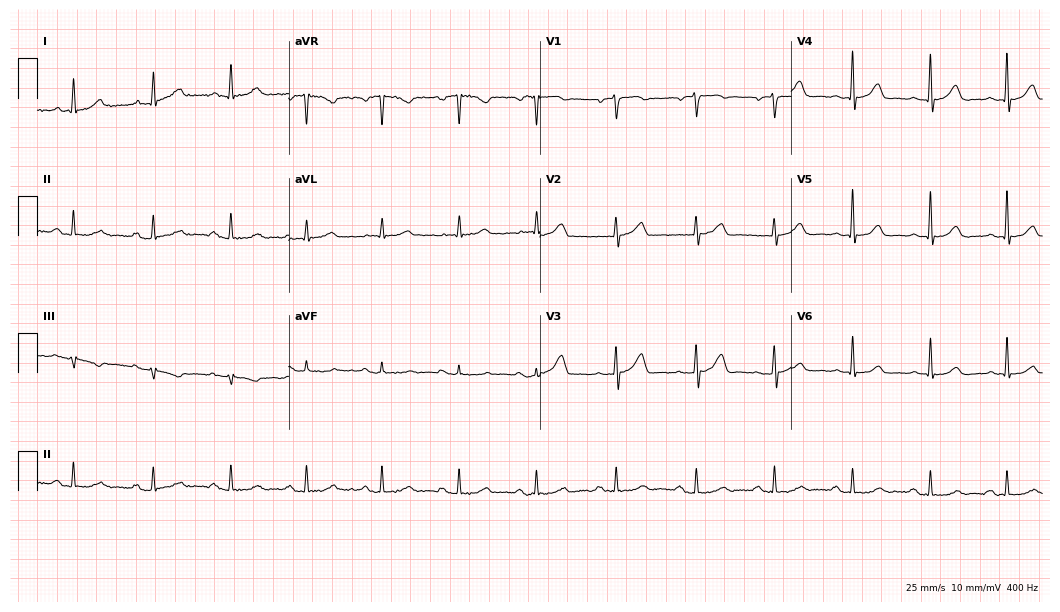
12-lead ECG from a female patient, 73 years old. Recorded interpretation: within normal limits.